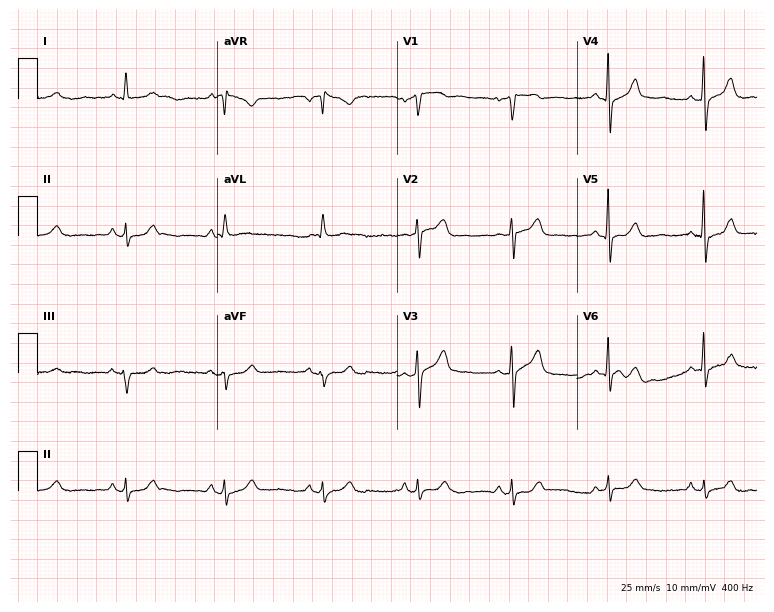
Resting 12-lead electrocardiogram (7.3-second recording at 400 Hz). Patient: a 77-year-old man. None of these six findings is recorded: first-degree AV block, right bundle branch block, left bundle branch block, sinus bradycardia, atrial fibrillation, sinus tachycardia.